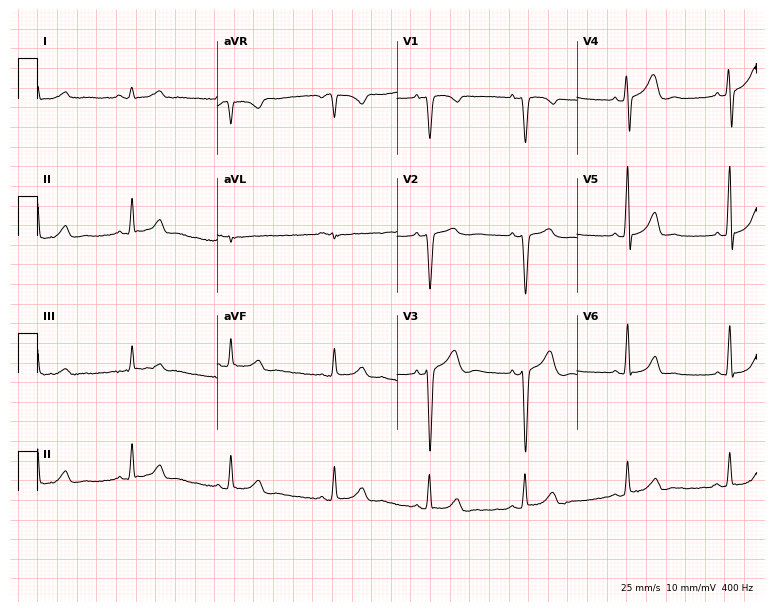
12-lead ECG from a woman, 23 years old. No first-degree AV block, right bundle branch block (RBBB), left bundle branch block (LBBB), sinus bradycardia, atrial fibrillation (AF) or sinus tachycardia recorded for this tracing.